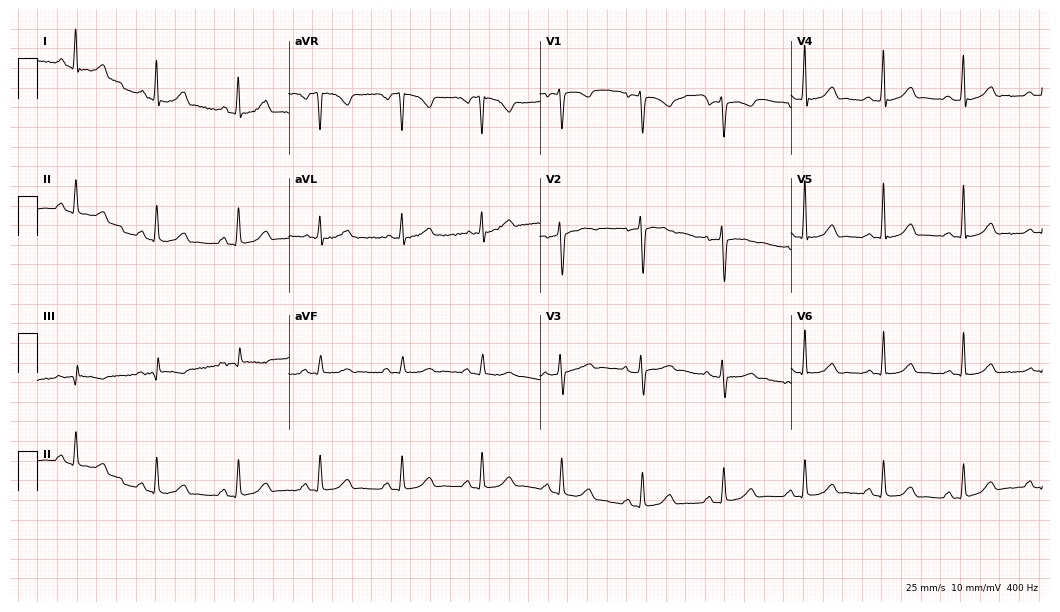
Electrocardiogram, a woman, 17 years old. Overall reading on record: normal ECG.